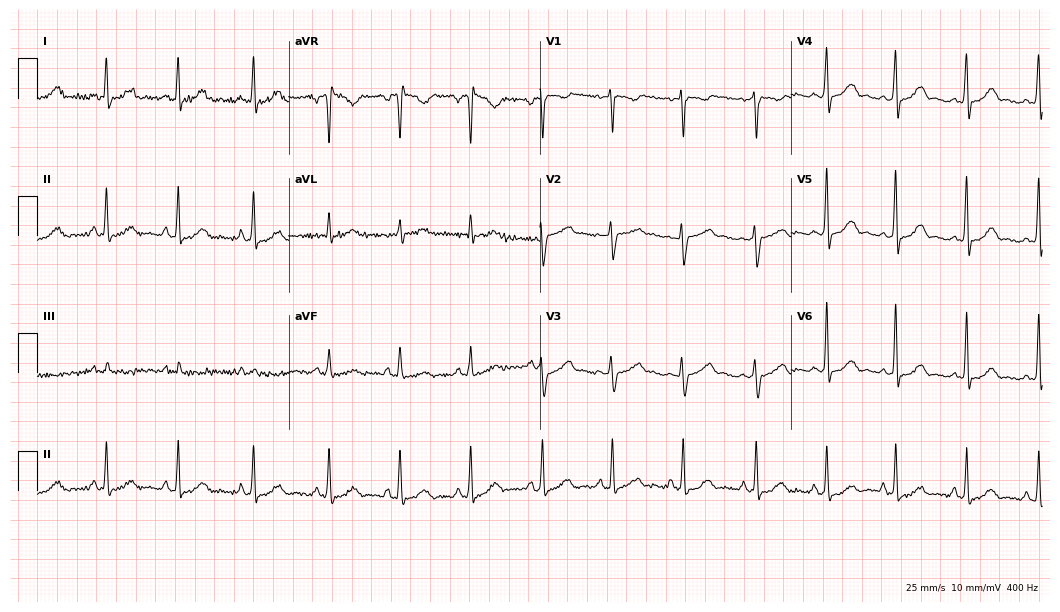
12-lead ECG (10.2-second recording at 400 Hz) from a 41-year-old woman. Labelled as a normal ECG.